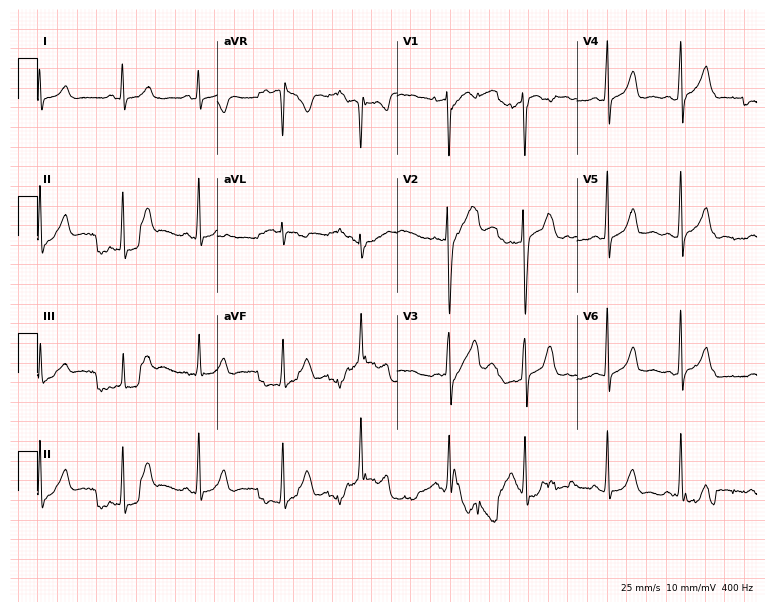
Standard 12-lead ECG recorded from a 21-year-old female patient (7.3-second recording at 400 Hz). None of these six findings is recorded: first-degree AV block, right bundle branch block, left bundle branch block, sinus bradycardia, atrial fibrillation, sinus tachycardia.